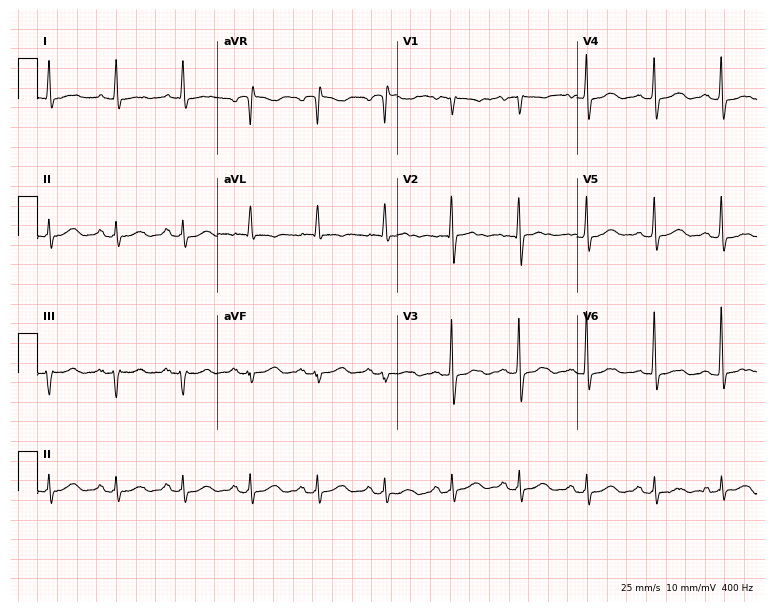
Standard 12-lead ECG recorded from a female, 76 years old (7.3-second recording at 400 Hz). None of these six findings is recorded: first-degree AV block, right bundle branch block, left bundle branch block, sinus bradycardia, atrial fibrillation, sinus tachycardia.